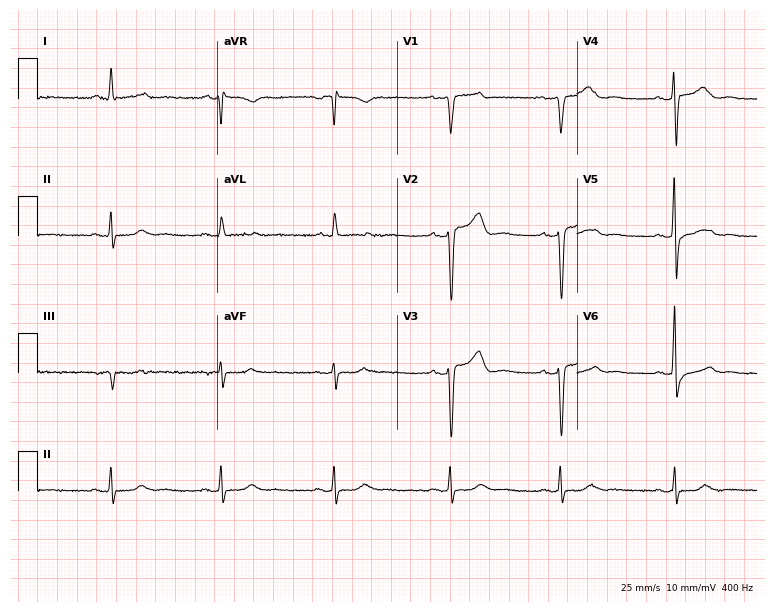
12-lead ECG (7.3-second recording at 400 Hz) from a female patient, 46 years old. Screened for six findings — first-degree AV block, right bundle branch block, left bundle branch block, sinus bradycardia, atrial fibrillation, sinus tachycardia — none is recorded.